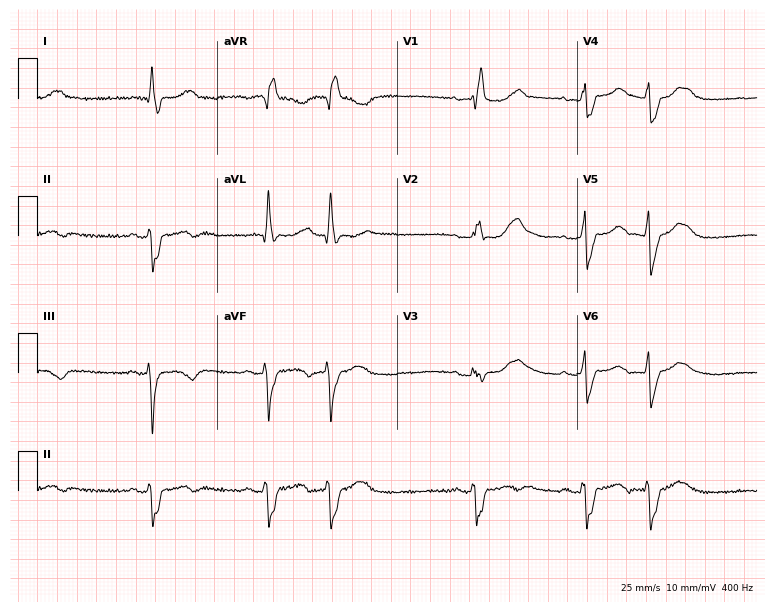
Standard 12-lead ECG recorded from a woman, 56 years old (7.3-second recording at 400 Hz). The tracing shows right bundle branch block.